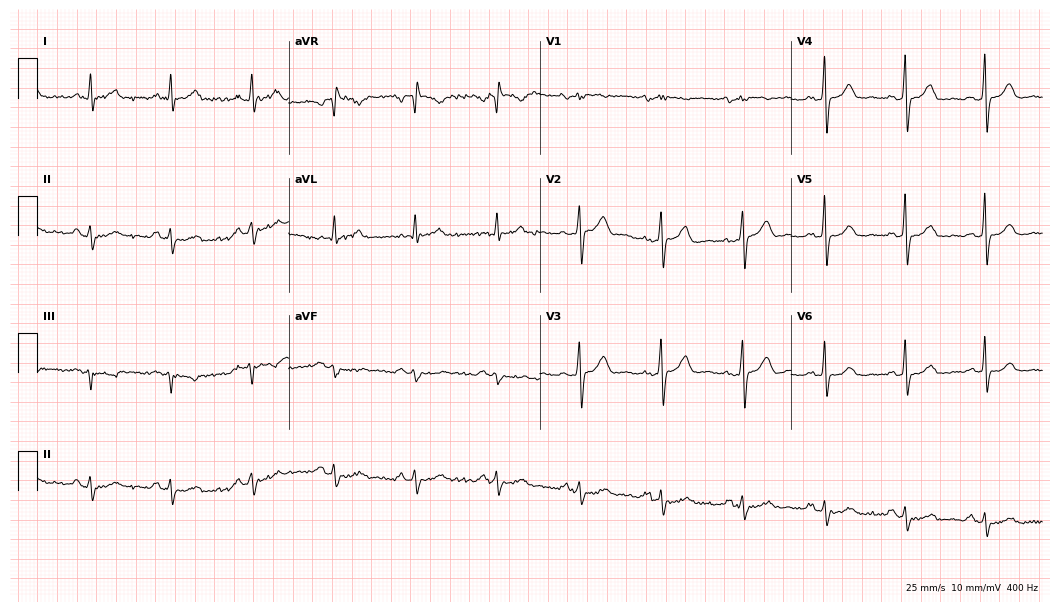
Standard 12-lead ECG recorded from a male, 60 years old. None of these six findings is recorded: first-degree AV block, right bundle branch block (RBBB), left bundle branch block (LBBB), sinus bradycardia, atrial fibrillation (AF), sinus tachycardia. Other findings, if any, are not listed.